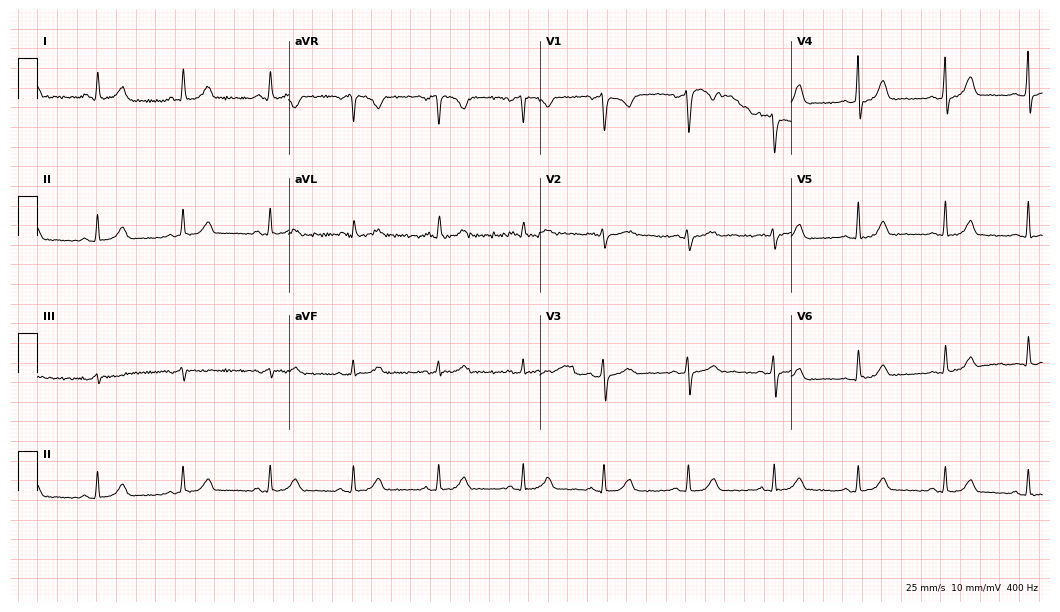
Resting 12-lead electrocardiogram. Patient: a 27-year-old female. None of these six findings is recorded: first-degree AV block, right bundle branch block, left bundle branch block, sinus bradycardia, atrial fibrillation, sinus tachycardia. Only these six findings were labelled.